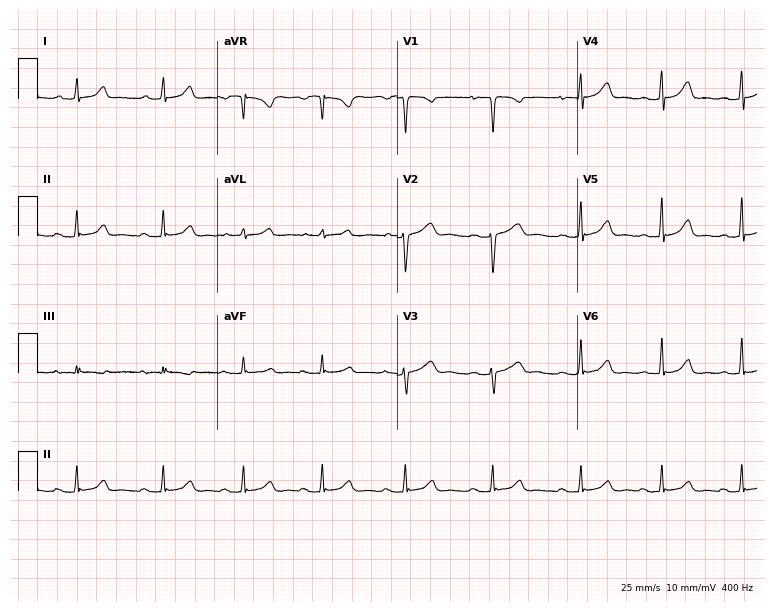
12-lead ECG (7.3-second recording at 400 Hz) from a female patient, 28 years old. Labelled as a normal ECG.